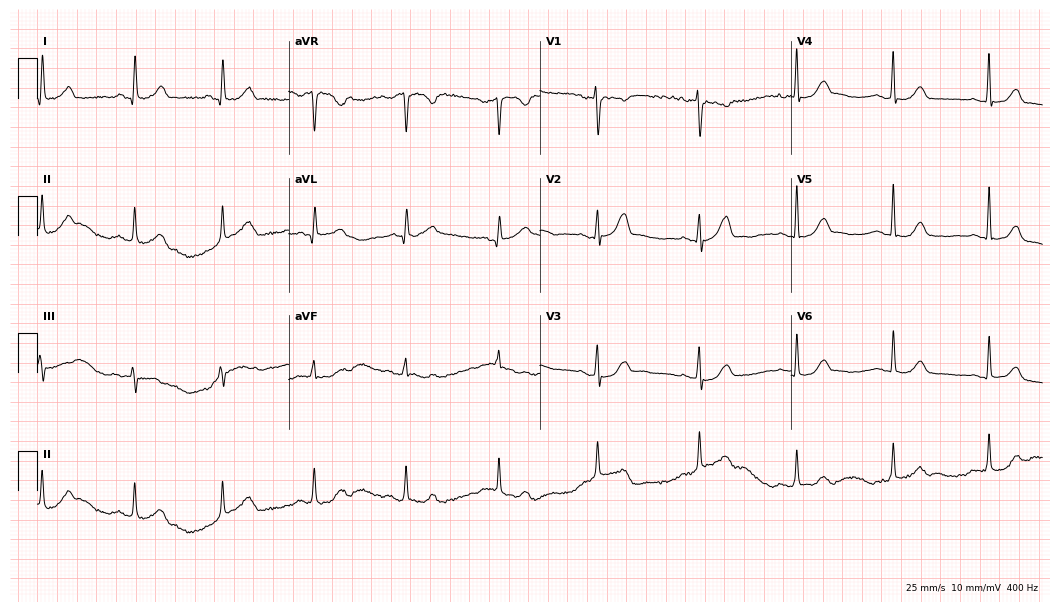
Electrocardiogram (10.2-second recording at 400 Hz), a female patient, 48 years old. Overall reading on record: normal ECG.